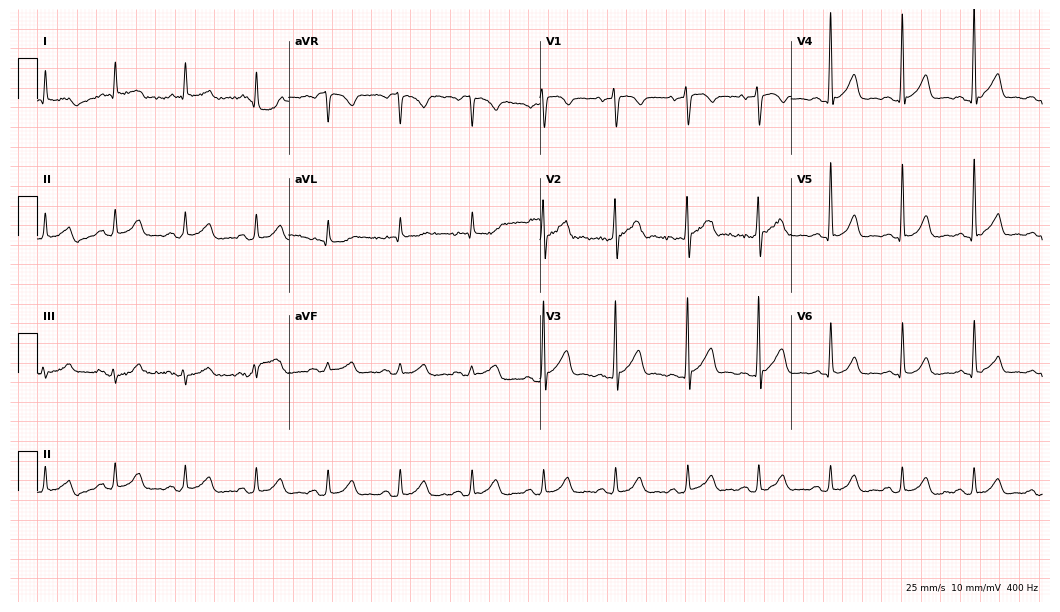
ECG — a 64-year-old male patient. Screened for six findings — first-degree AV block, right bundle branch block, left bundle branch block, sinus bradycardia, atrial fibrillation, sinus tachycardia — none is recorded.